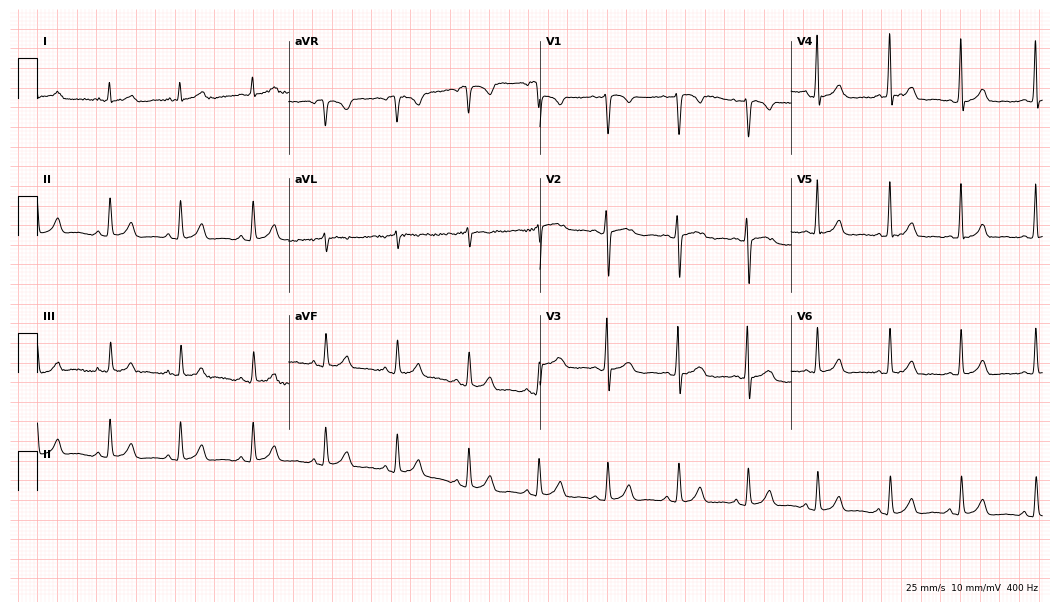
12-lead ECG from a female patient, 33 years old. Labelled as a normal ECG.